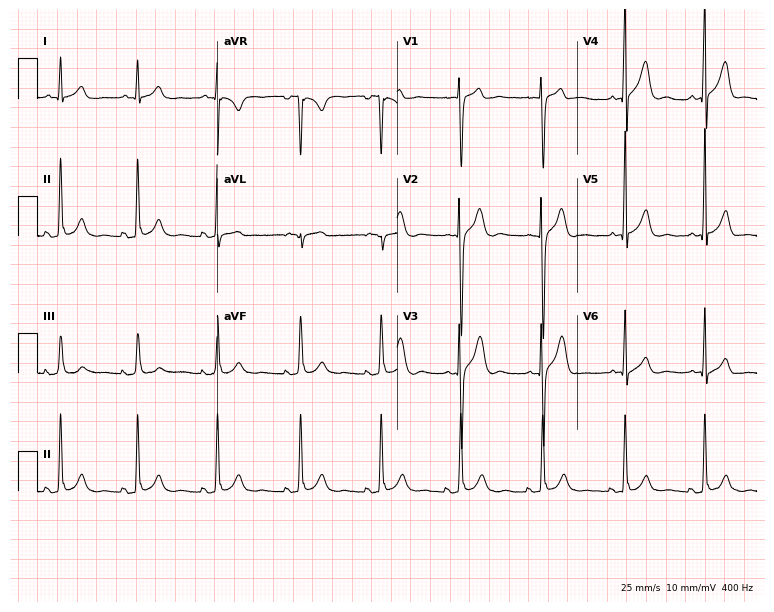
ECG — a 20-year-old male patient. Screened for six findings — first-degree AV block, right bundle branch block, left bundle branch block, sinus bradycardia, atrial fibrillation, sinus tachycardia — none is recorded.